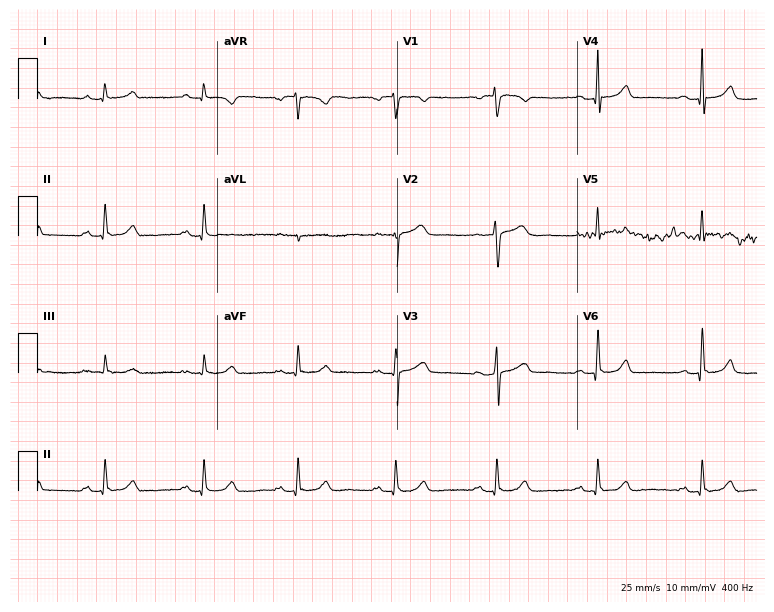
Resting 12-lead electrocardiogram (7.3-second recording at 400 Hz). Patient: a woman, 45 years old. Read as a normal ECG.